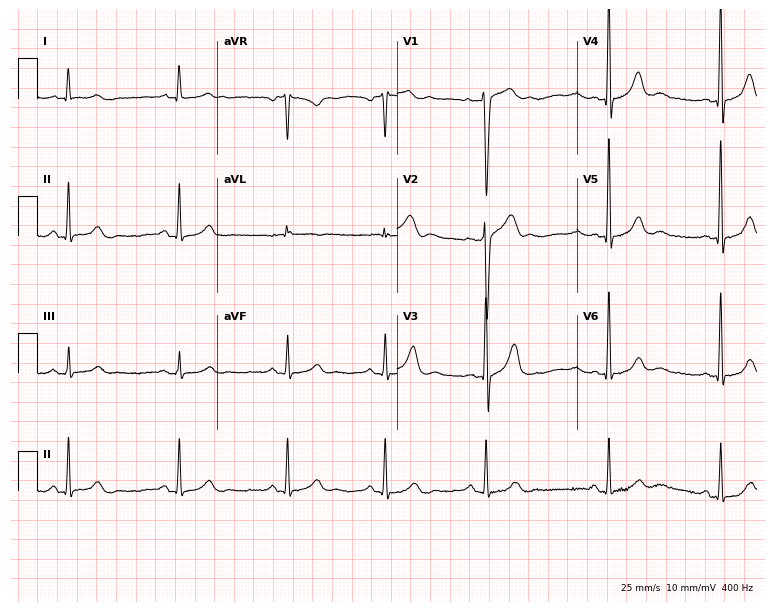
Electrocardiogram, a male patient, 45 years old. Of the six screened findings (first-degree AV block, right bundle branch block (RBBB), left bundle branch block (LBBB), sinus bradycardia, atrial fibrillation (AF), sinus tachycardia), none is recorded. Only these six findings were labelled.